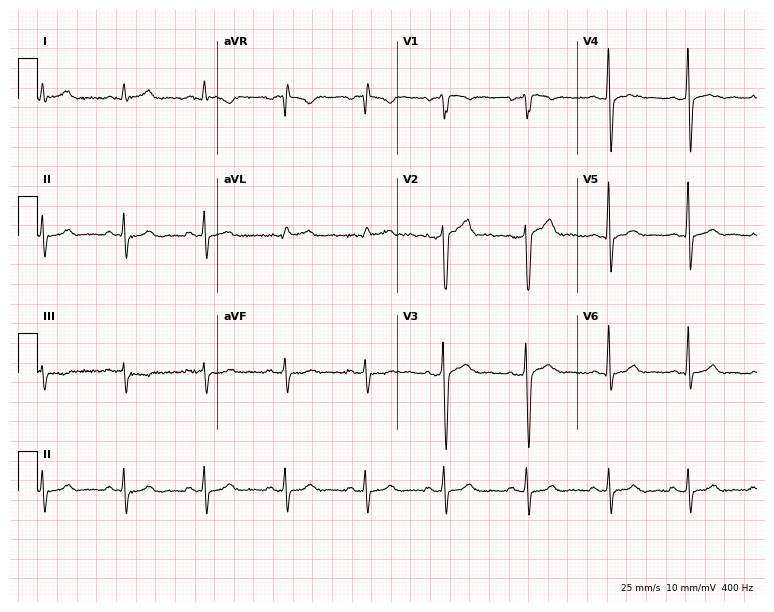
12-lead ECG from a 29-year-old man (7.3-second recording at 400 Hz). No first-degree AV block, right bundle branch block, left bundle branch block, sinus bradycardia, atrial fibrillation or sinus tachycardia recorded for this tracing. Only these six findings were labelled.